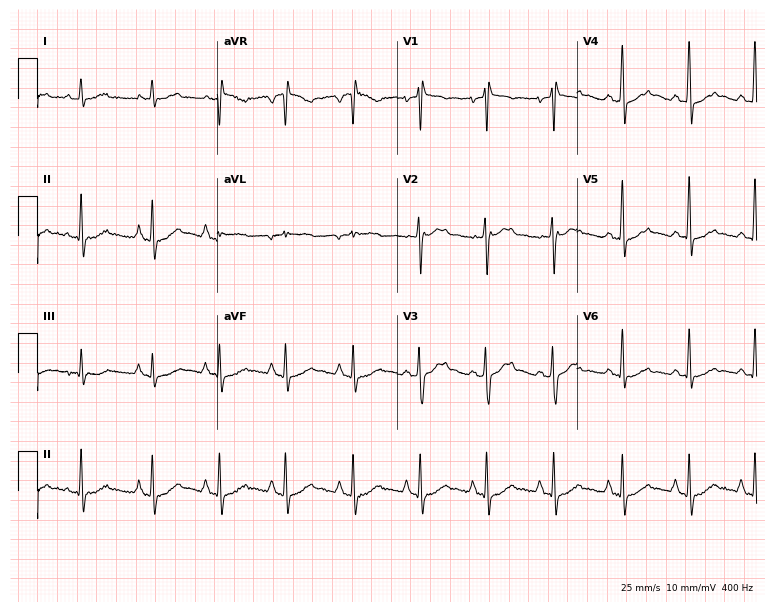
Standard 12-lead ECG recorded from a 67-year-old female. None of these six findings is recorded: first-degree AV block, right bundle branch block (RBBB), left bundle branch block (LBBB), sinus bradycardia, atrial fibrillation (AF), sinus tachycardia. Other findings, if any, are not listed.